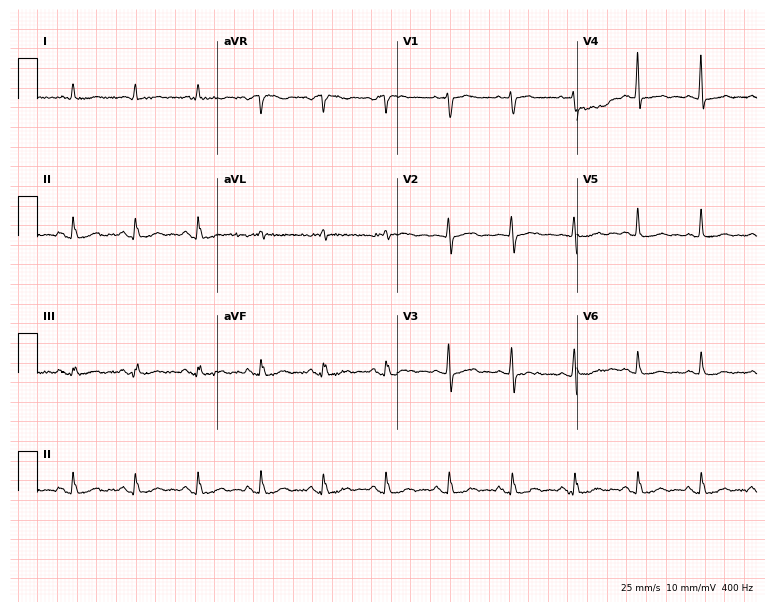
12-lead ECG from an 84-year-old female patient. Screened for six findings — first-degree AV block, right bundle branch block, left bundle branch block, sinus bradycardia, atrial fibrillation, sinus tachycardia — none is recorded.